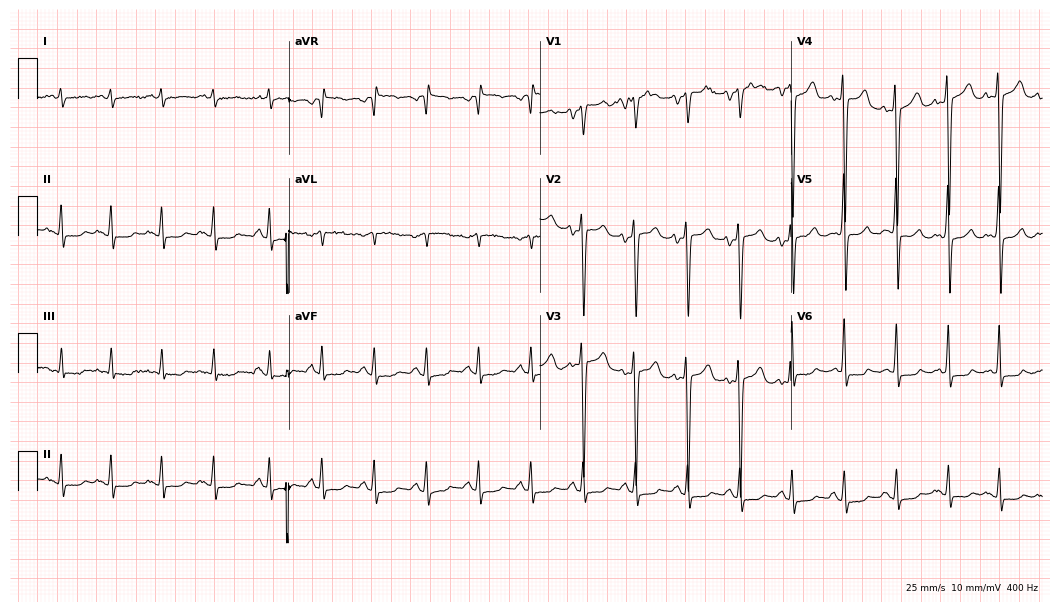
12-lead ECG from a male patient, 63 years old. Findings include sinus tachycardia (a sinus rate of 100 beats per minute or more).